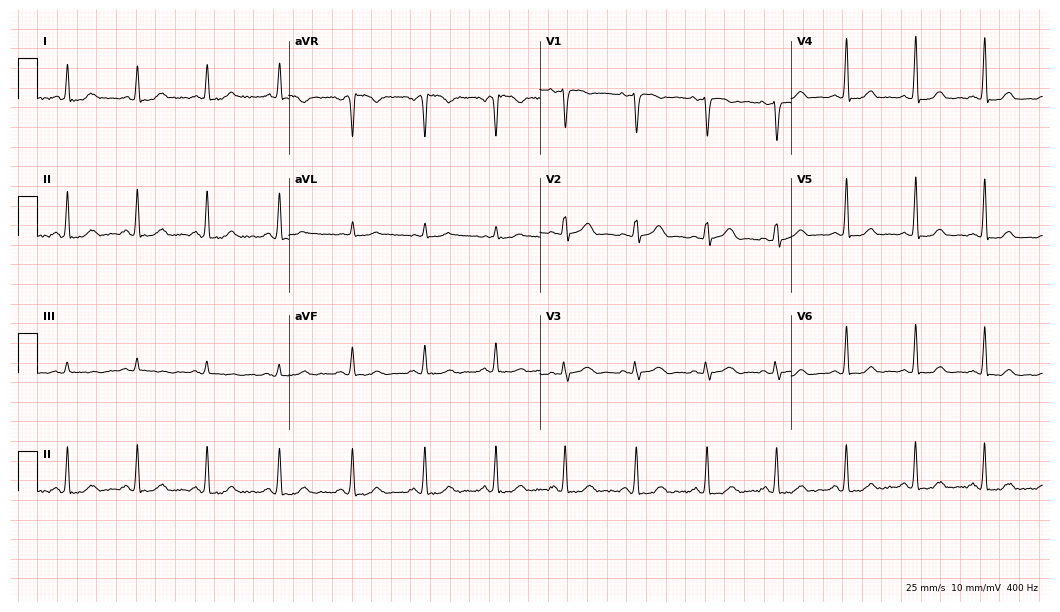
ECG — a female patient, 47 years old. Labelled as a normal ECG.